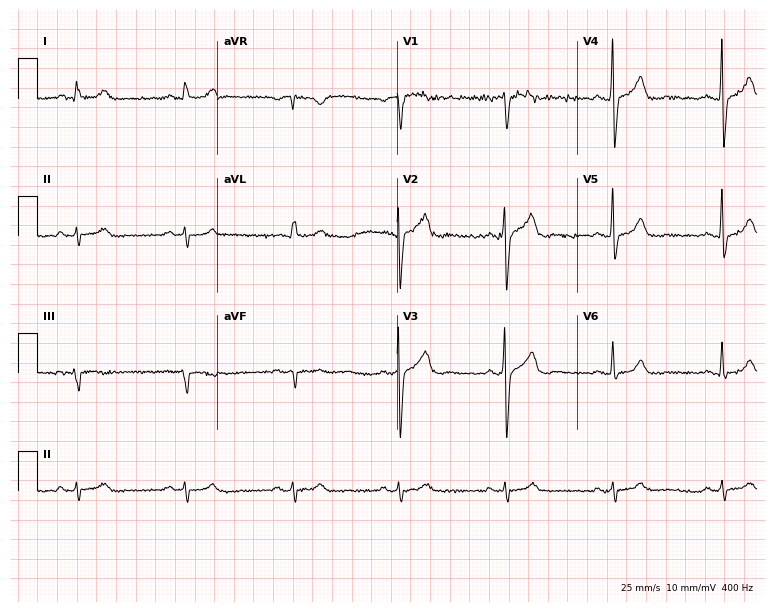
Standard 12-lead ECG recorded from a male, 60 years old (7.3-second recording at 400 Hz). None of these six findings is recorded: first-degree AV block, right bundle branch block (RBBB), left bundle branch block (LBBB), sinus bradycardia, atrial fibrillation (AF), sinus tachycardia.